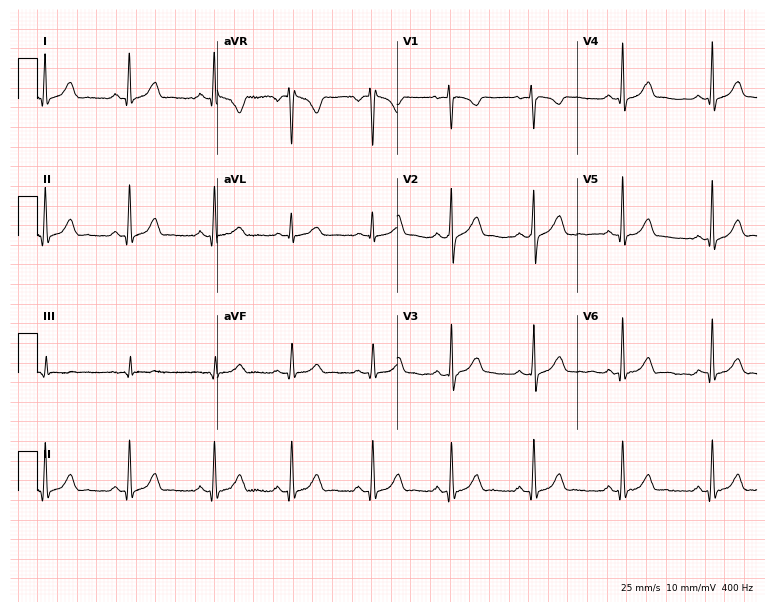
ECG (7.3-second recording at 400 Hz) — a woman, 25 years old. Labelled as a normal ECG.